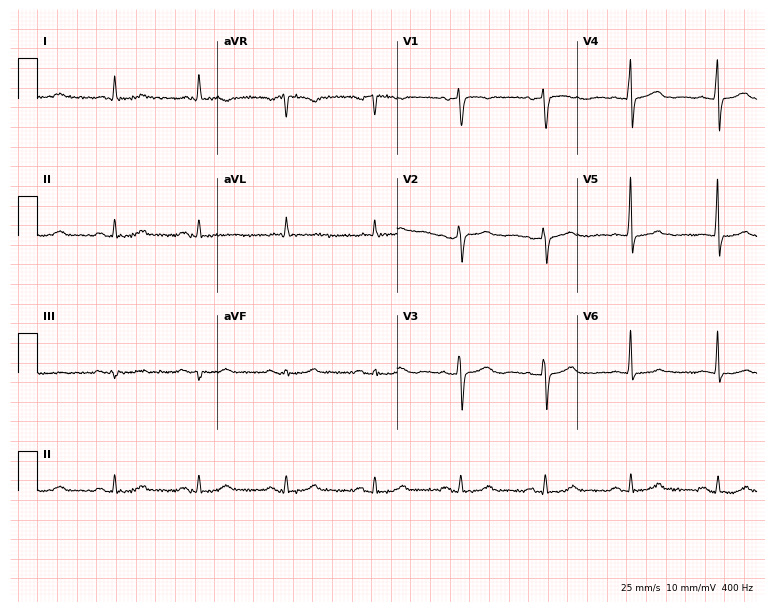
Standard 12-lead ECG recorded from a 73-year-old female patient. Read as a normal ECG.